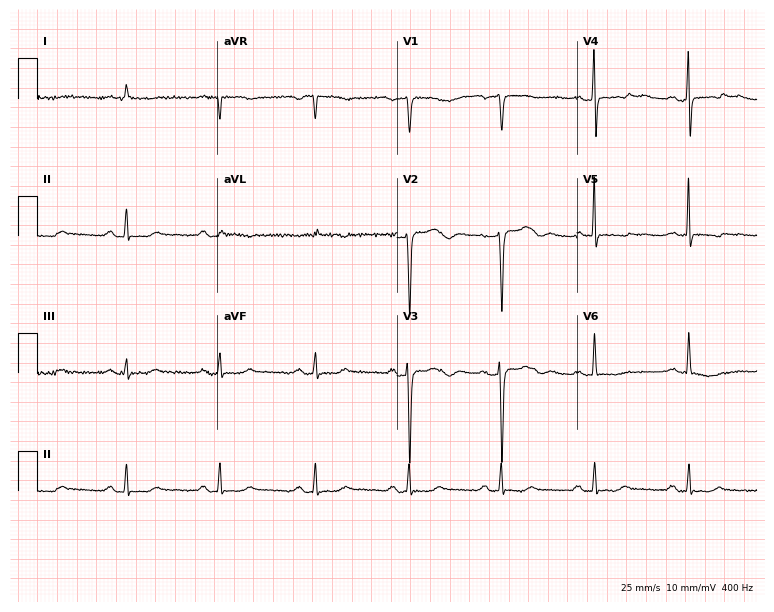
Resting 12-lead electrocardiogram (7.3-second recording at 400 Hz). Patient: a woman, 82 years old. None of these six findings is recorded: first-degree AV block, right bundle branch block, left bundle branch block, sinus bradycardia, atrial fibrillation, sinus tachycardia.